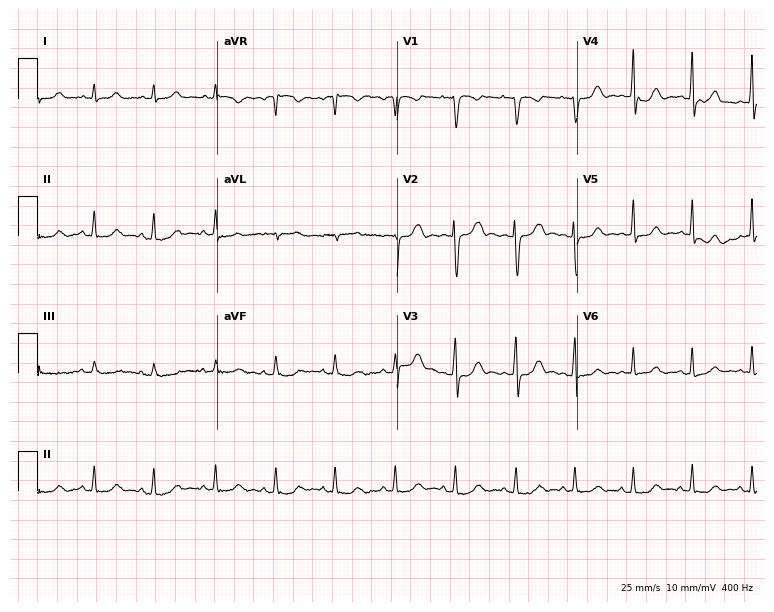
12-lead ECG from a 30-year-old woman. Screened for six findings — first-degree AV block, right bundle branch block, left bundle branch block, sinus bradycardia, atrial fibrillation, sinus tachycardia — none is recorded.